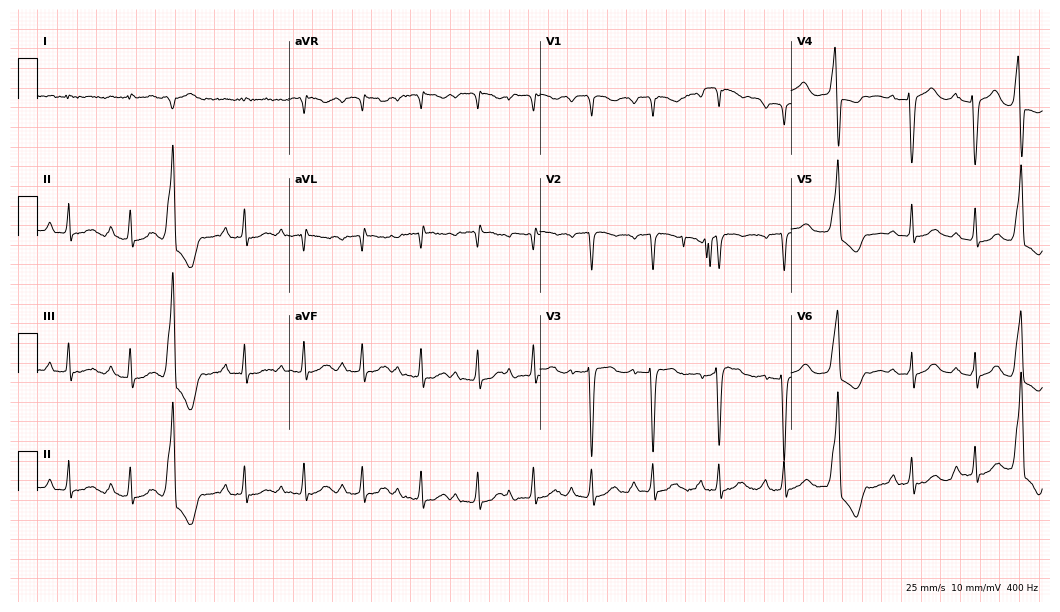
Standard 12-lead ECG recorded from a 78-year-old male (10.2-second recording at 400 Hz). None of these six findings is recorded: first-degree AV block, right bundle branch block, left bundle branch block, sinus bradycardia, atrial fibrillation, sinus tachycardia.